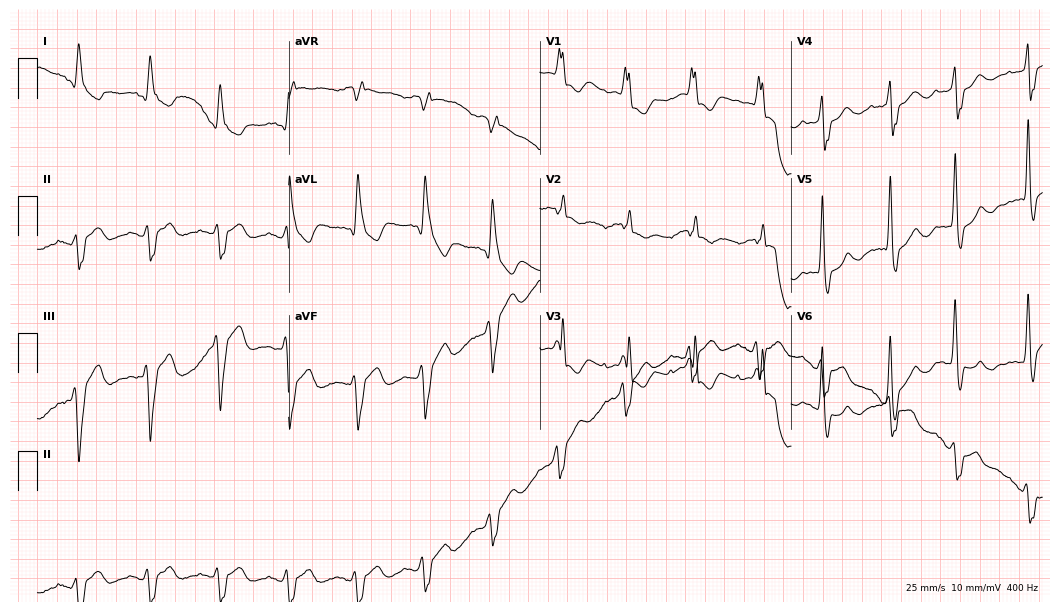
ECG (10.2-second recording at 400 Hz) — a 71-year-old female. Findings include right bundle branch block.